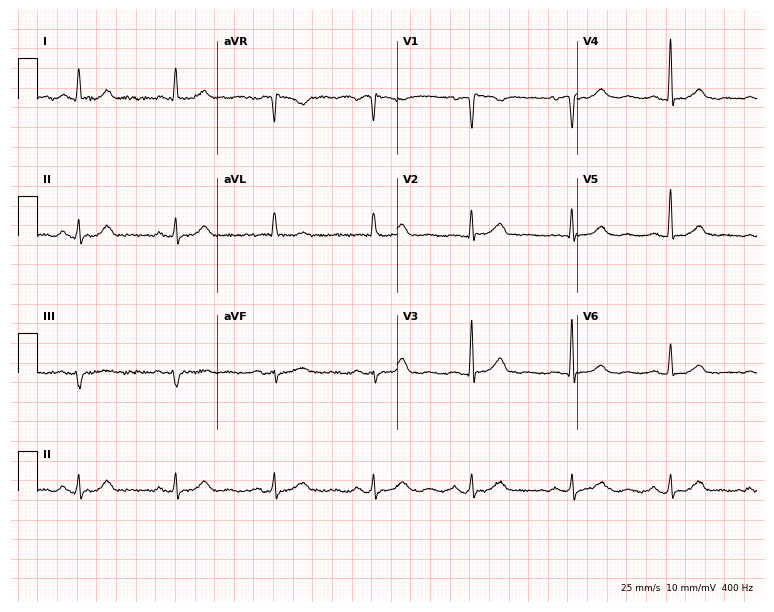
12-lead ECG from a 77-year-old male (7.3-second recording at 400 Hz). Recorded interpretation: within normal limits.